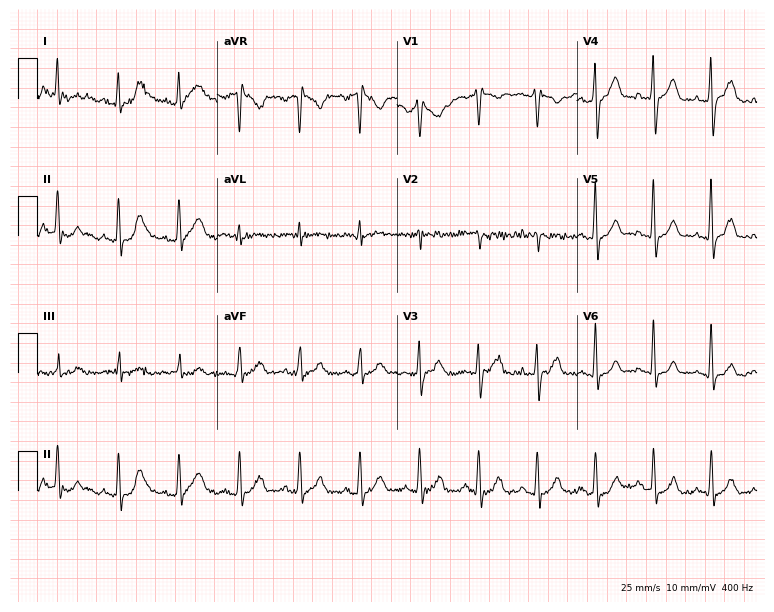
Resting 12-lead electrocardiogram (7.3-second recording at 400 Hz). Patient: a male, 43 years old. Read as a normal ECG.